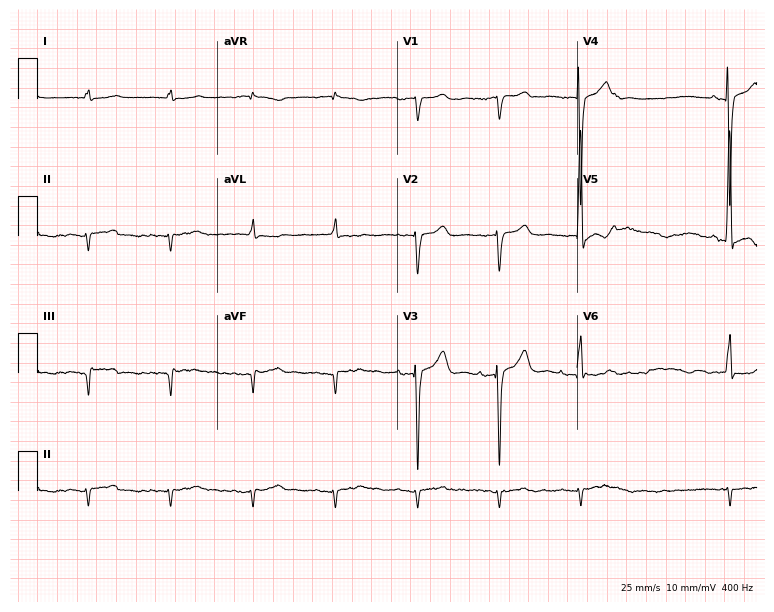
ECG (7.3-second recording at 400 Hz) — a male patient, 73 years old. Screened for six findings — first-degree AV block, right bundle branch block, left bundle branch block, sinus bradycardia, atrial fibrillation, sinus tachycardia — none is recorded. Findings outside these six are not listed.